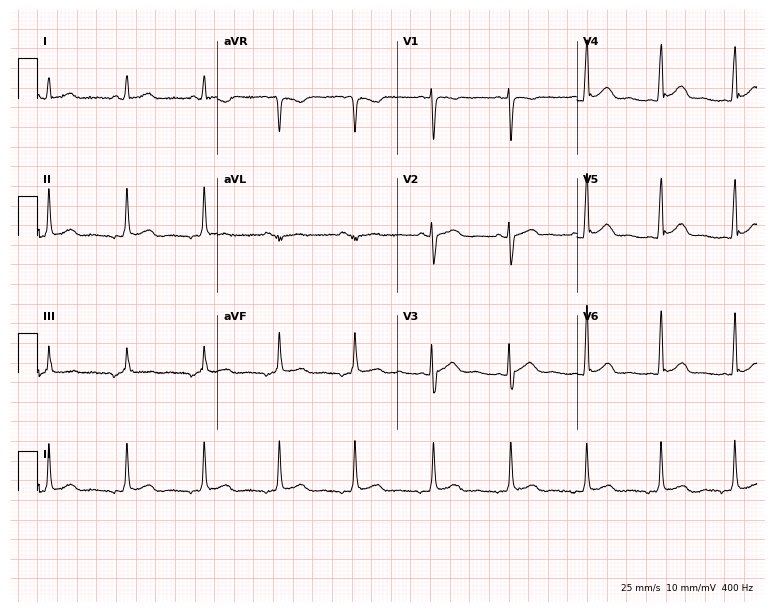
Electrocardiogram (7.3-second recording at 400 Hz), a female, 25 years old. Of the six screened findings (first-degree AV block, right bundle branch block, left bundle branch block, sinus bradycardia, atrial fibrillation, sinus tachycardia), none is recorded.